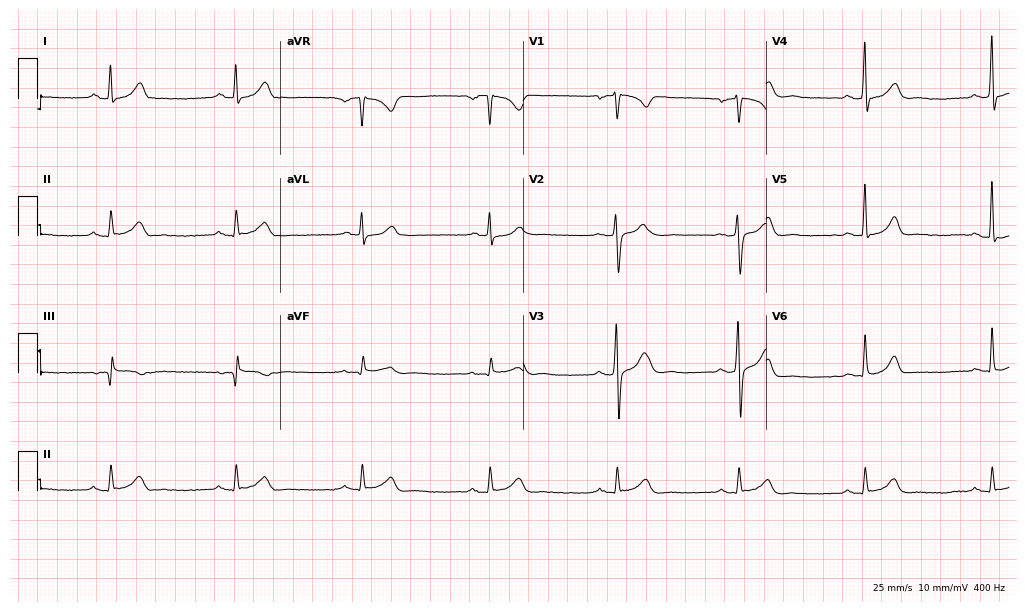
ECG — a male patient, 45 years old. Findings include sinus bradycardia (a sinus rate of 50 beats per minute or less).